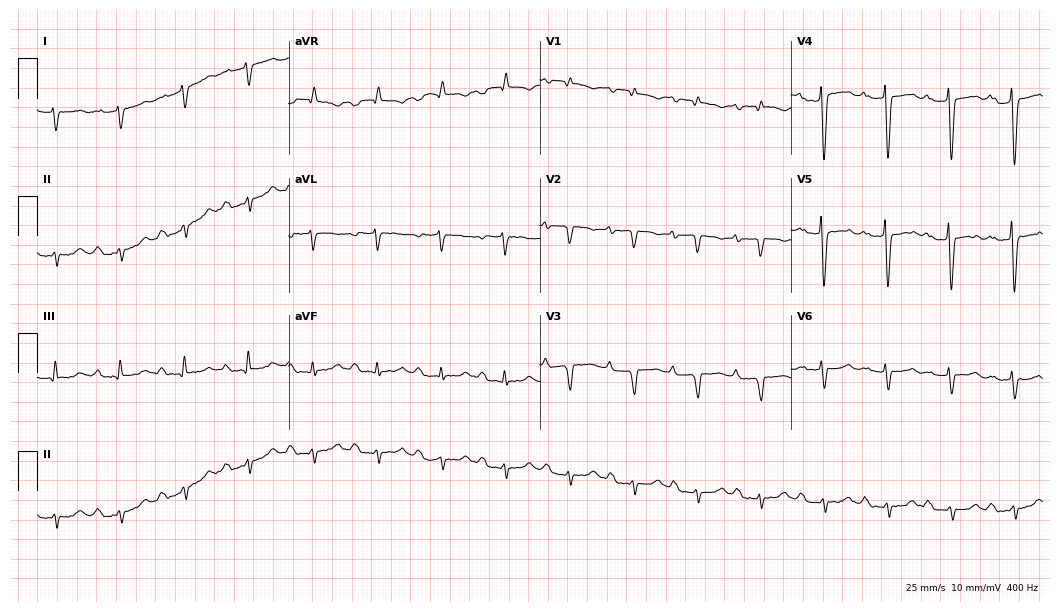
Electrocardiogram (10.2-second recording at 400 Hz), an 83-year-old woman. Of the six screened findings (first-degree AV block, right bundle branch block, left bundle branch block, sinus bradycardia, atrial fibrillation, sinus tachycardia), none is recorded. Only these six findings were labelled.